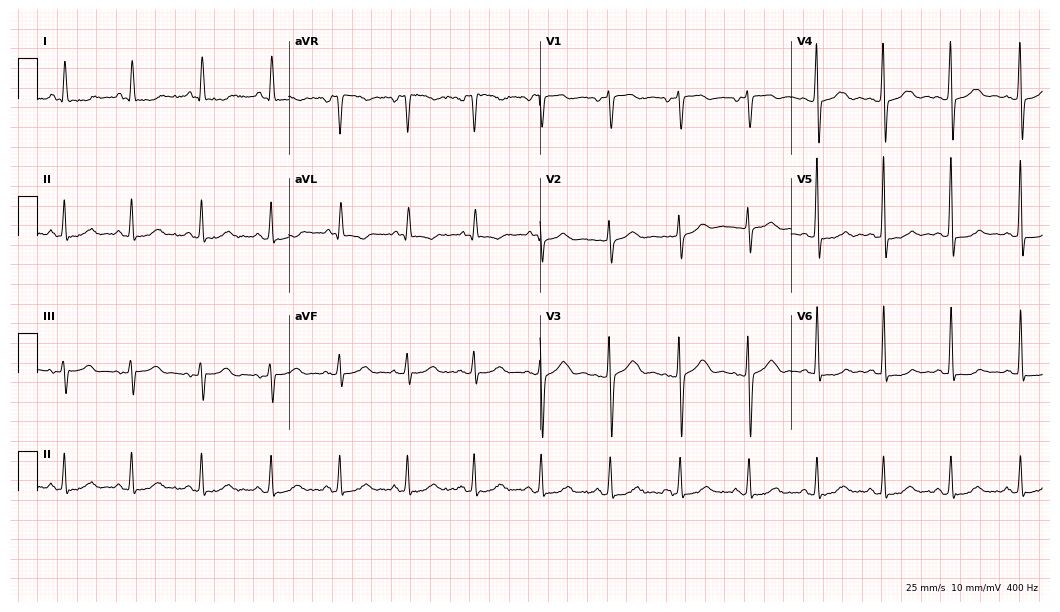
12-lead ECG from a female patient, 68 years old (10.2-second recording at 400 Hz). No first-degree AV block, right bundle branch block, left bundle branch block, sinus bradycardia, atrial fibrillation or sinus tachycardia recorded for this tracing.